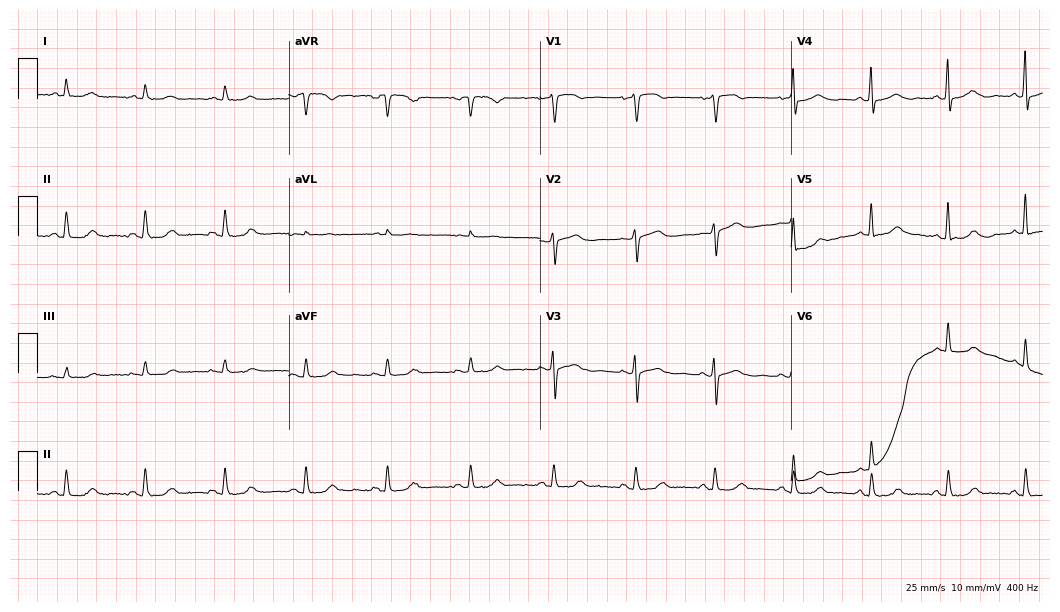
Electrocardiogram, a 61-year-old female patient. Overall reading on record: normal ECG.